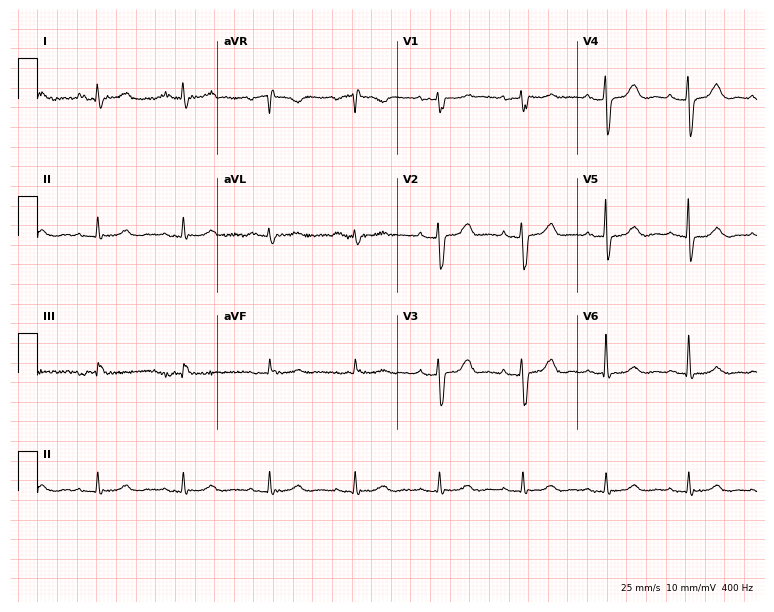
Standard 12-lead ECG recorded from a female, 66 years old (7.3-second recording at 400 Hz). Read as a normal ECG.